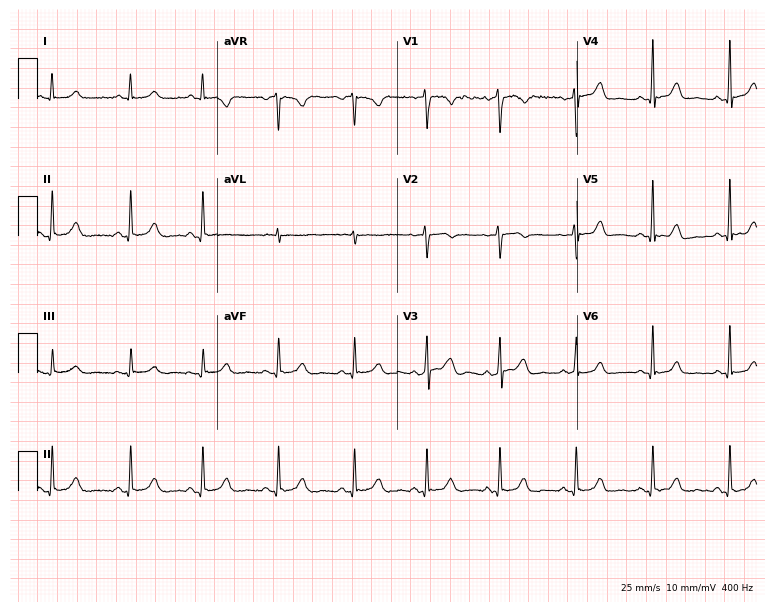
12-lead ECG (7.3-second recording at 400 Hz) from a woman, 39 years old. Labelled as a normal ECG.